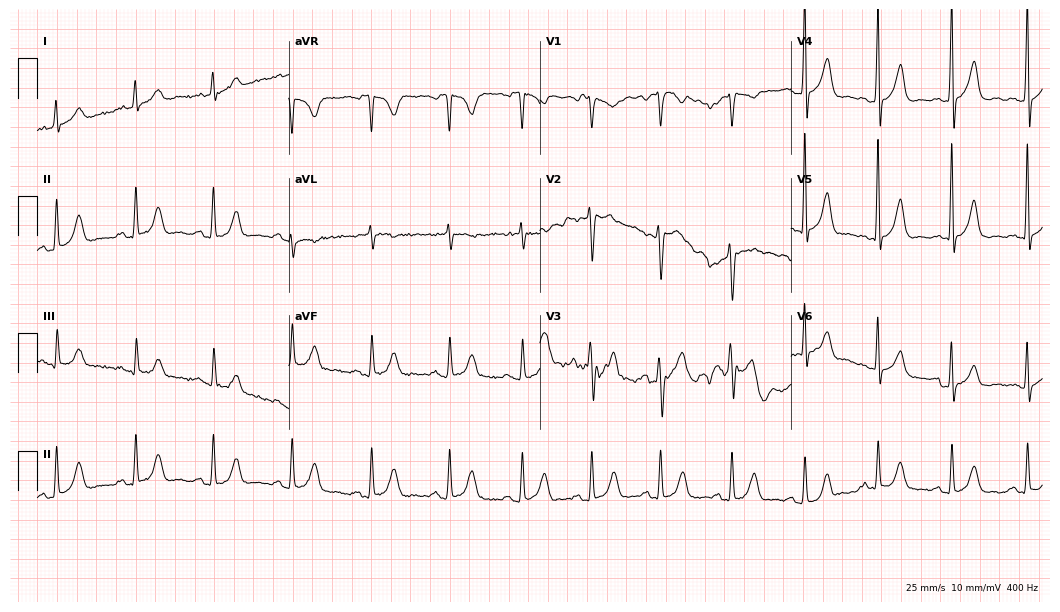
Standard 12-lead ECG recorded from a male patient, 37 years old (10.2-second recording at 400 Hz). Read as a normal ECG.